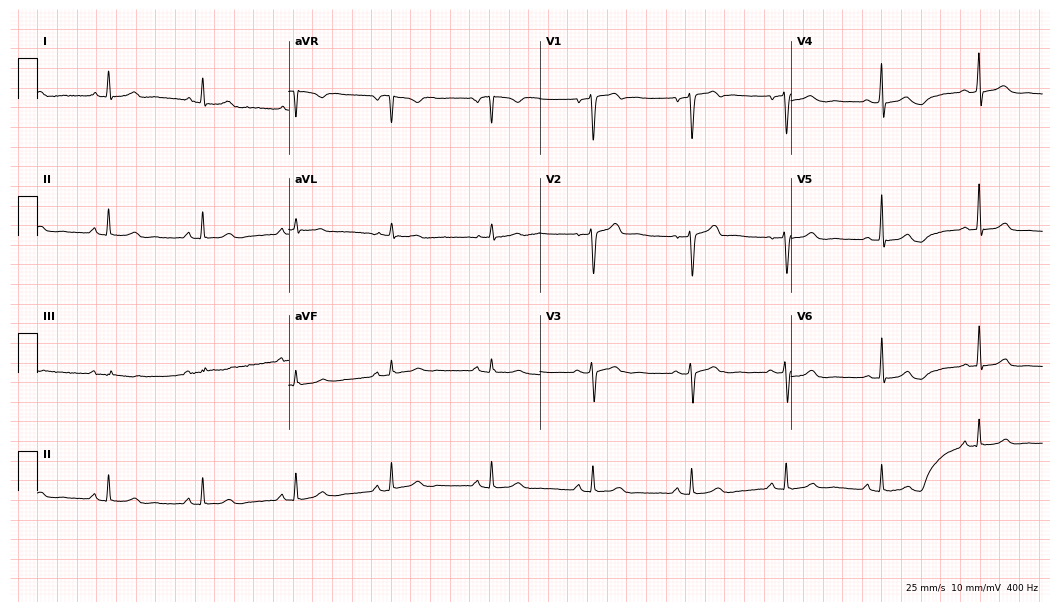
Electrocardiogram, a female patient, 54 years old. Overall reading on record: normal ECG.